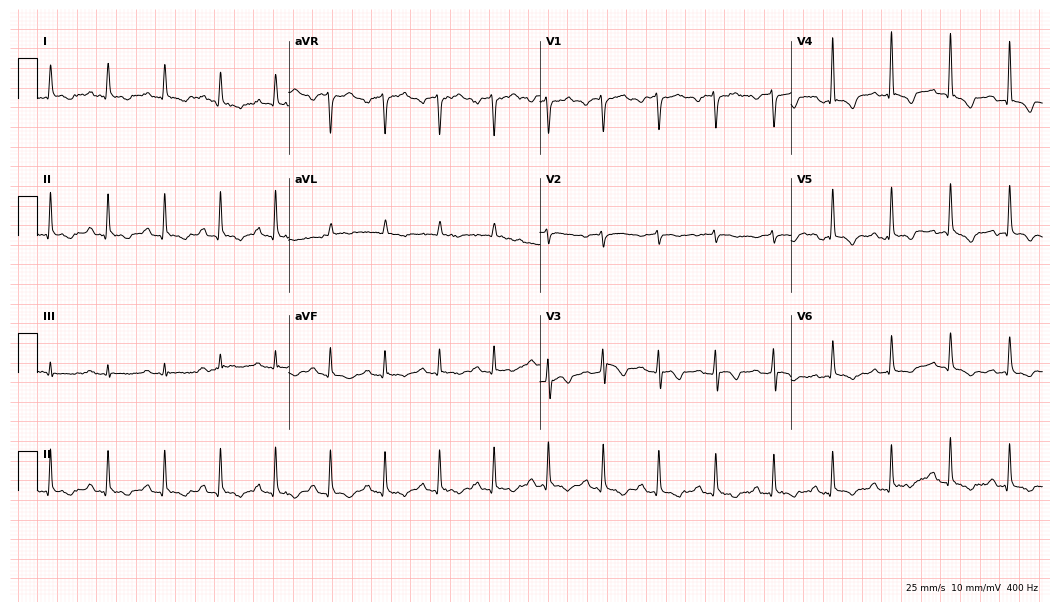
Standard 12-lead ECG recorded from a 51-year-old man. None of these six findings is recorded: first-degree AV block, right bundle branch block, left bundle branch block, sinus bradycardia, atrial fibrillation, sinus tachycardia. Only these six findings were labelled.